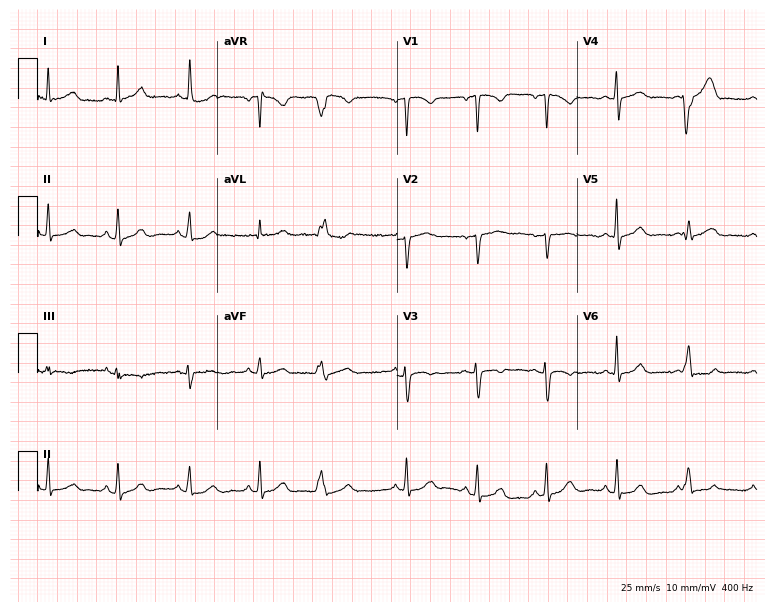
12-lead ECG (7.3-second recording at 400 Hz) from a 44-year-old woman. Screened for six findings — first-degree AV block, right bundle branch block, left bundle branch block, sinus bradycardia, atrial fibrillation, sinus tachycardia — none is recorded. Findings outside these six are not listed.